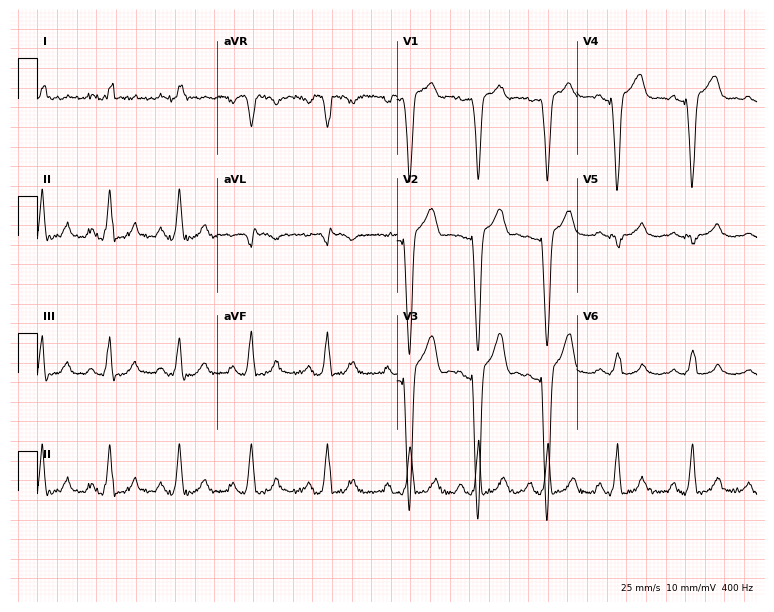
Resting 12-lead electrocardiogram (7.3-second recording at 400 Hz). Patient: a 35-year-old female. The tracing shows left bundle branch block (LBBB).